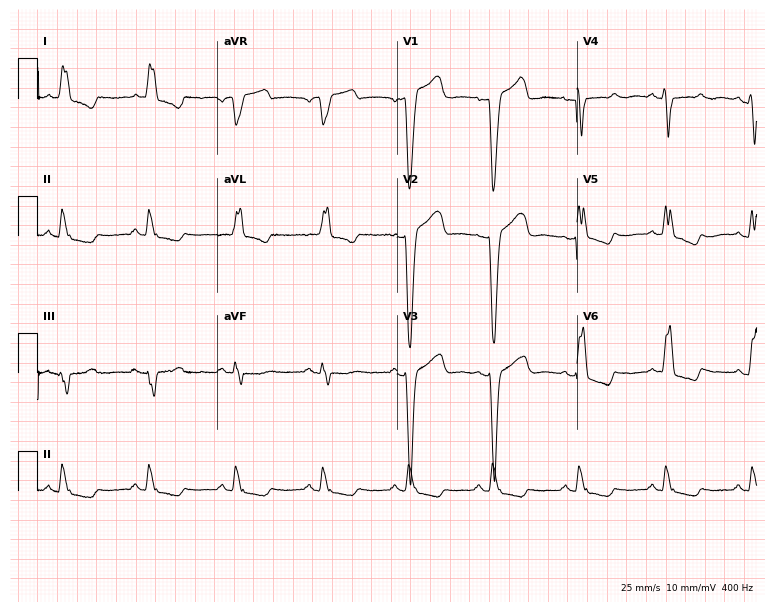
12-lead ECG from a female patient, 77 years old (7.3-second recording at 400 Hz). Shows left bundle branch block.